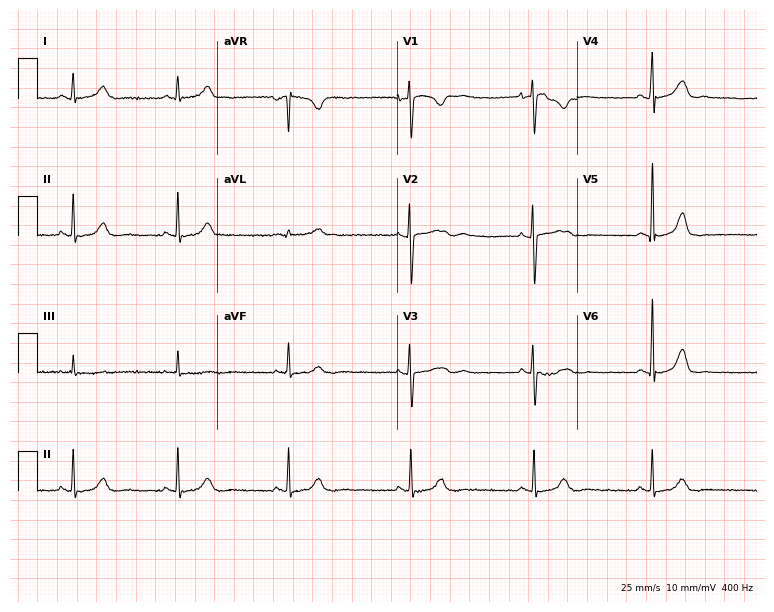
ECG (7.3-second recording at 400 Hz) — a female, 32 years old. Labelled as a normal ECG.